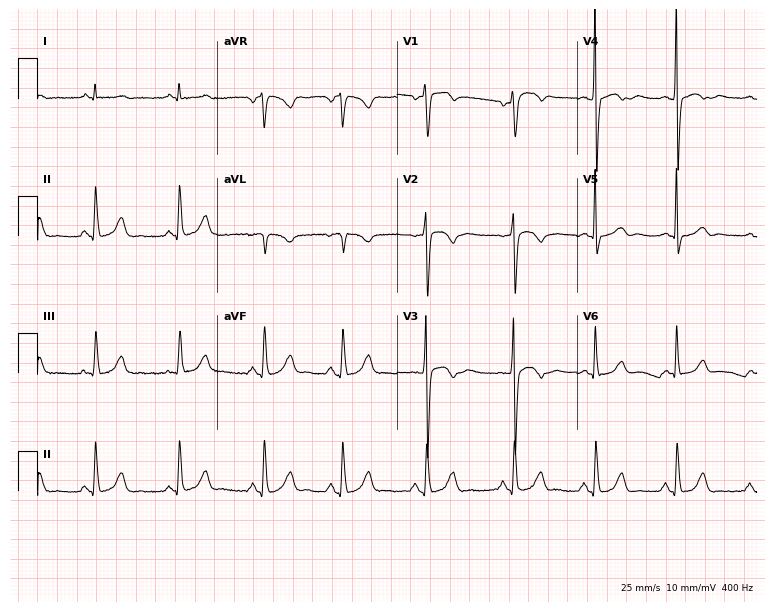
Resting 12-lead electrocardiogram (7.3-second recording at 400 Hz). Patient: a 71-year-old man. None of these six findings is recorded: first-degree AV block, right bundle branch block, left bundle branch block, sinus bradycardia, atrial fibrillation, sinus tachycardia.